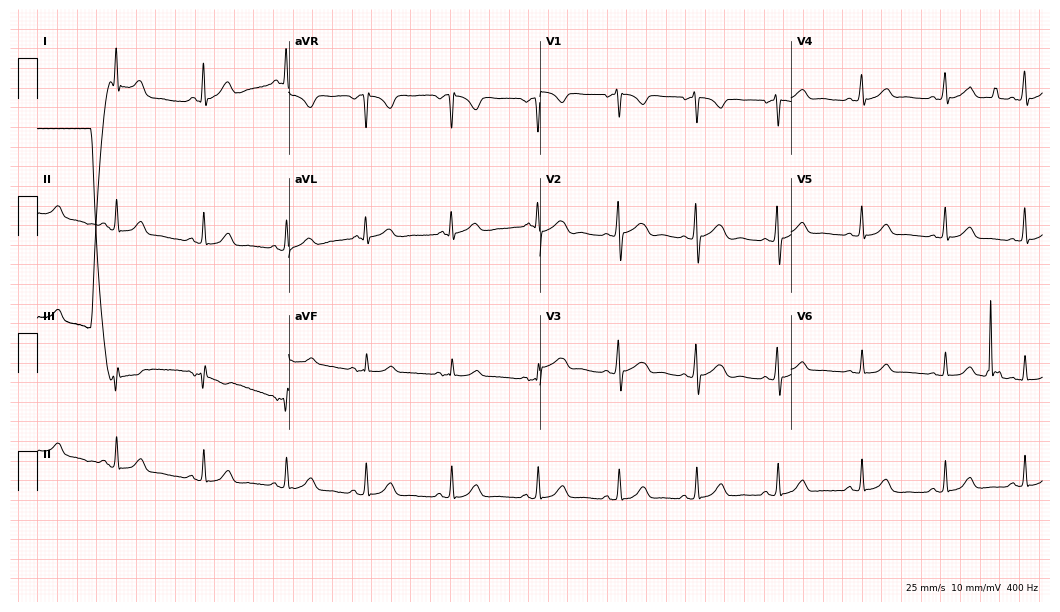
Resting 12-lead electrocardiogram. Patient: a woman, 37 years old. Read as a normal ECG.